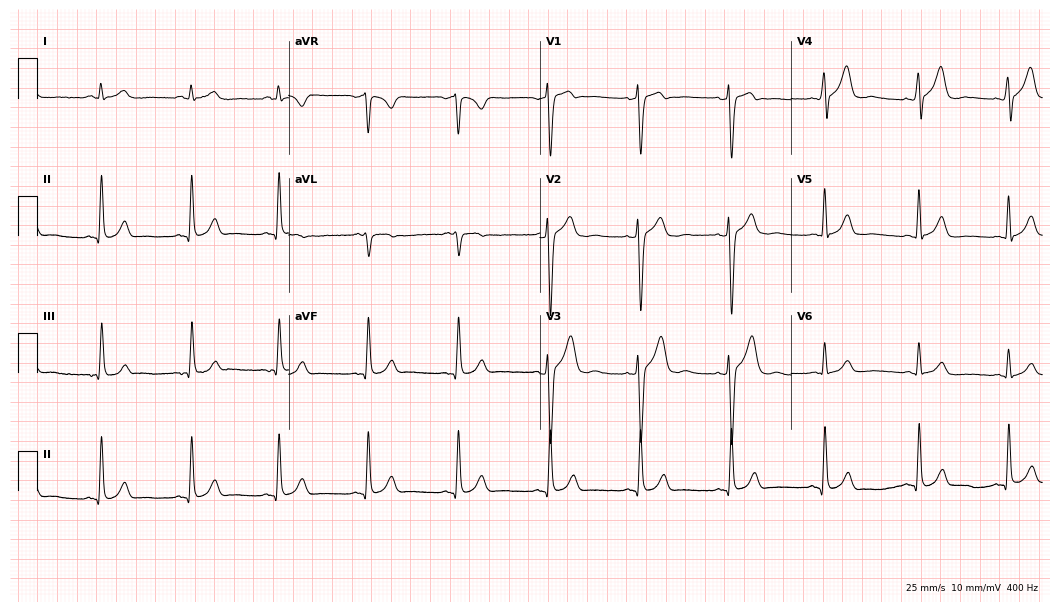
12-lead ECG from a 42-year-old man. Labelled as a normal ECG.